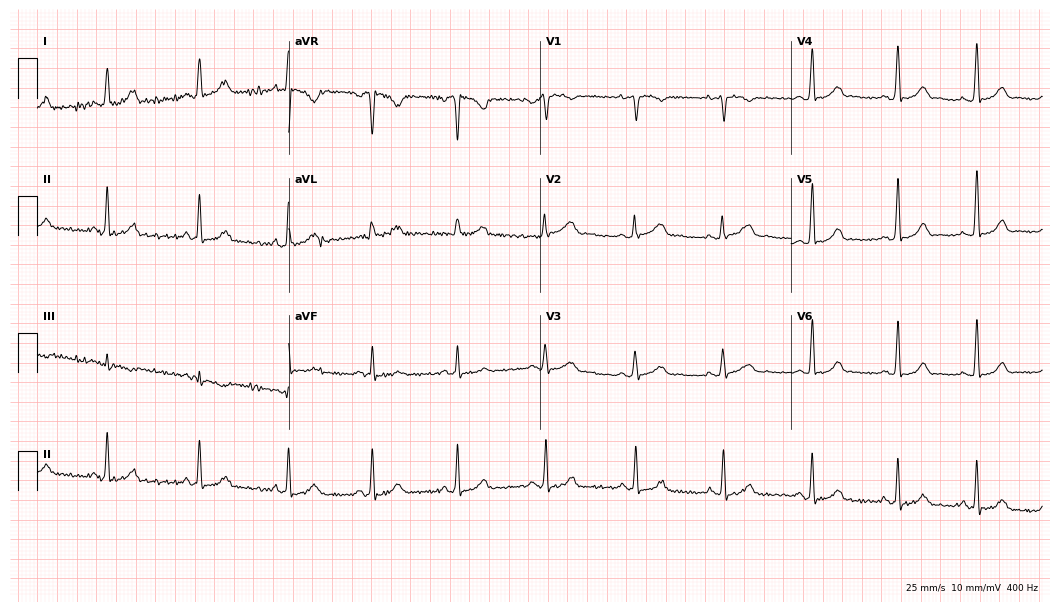
12-lead ECG (10.2-second recording at 400 Hz) from a woman, 25 years old. Labelled as a normal ECG.